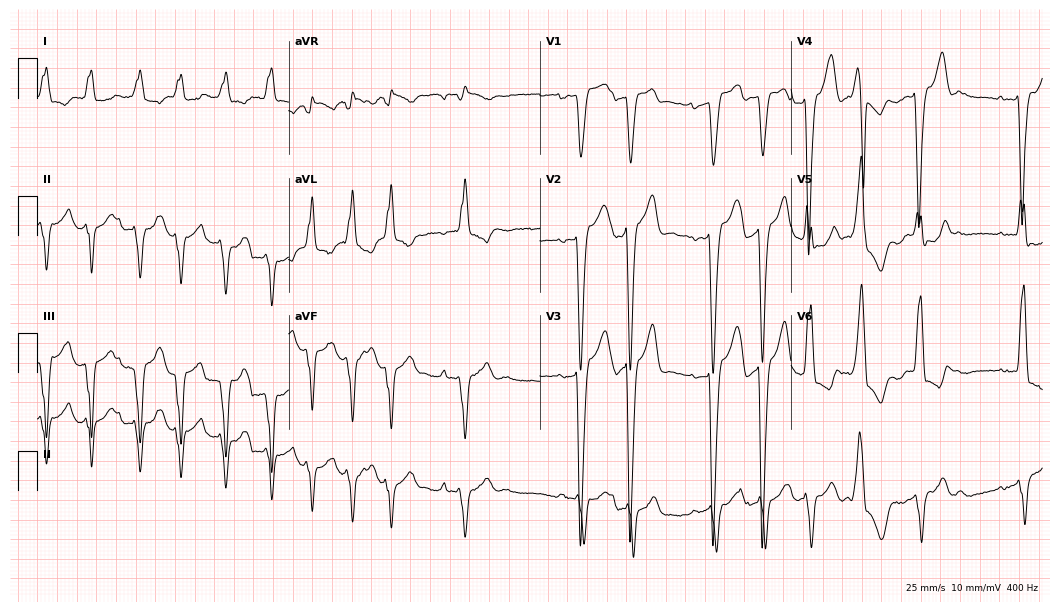
12-lead ECG from a 70-year-old female (10.2-second recording at 400 Hz). Shows left bundle branch block, atrial fibrillation.